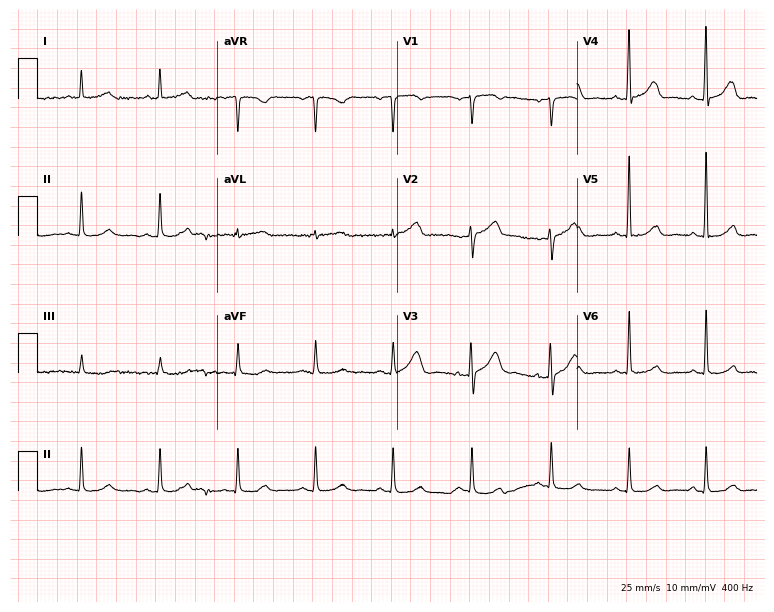
ECG (7.3-second recording at 400 Hz) — a female patient, 61 years old. Labelled as a normal ECG.